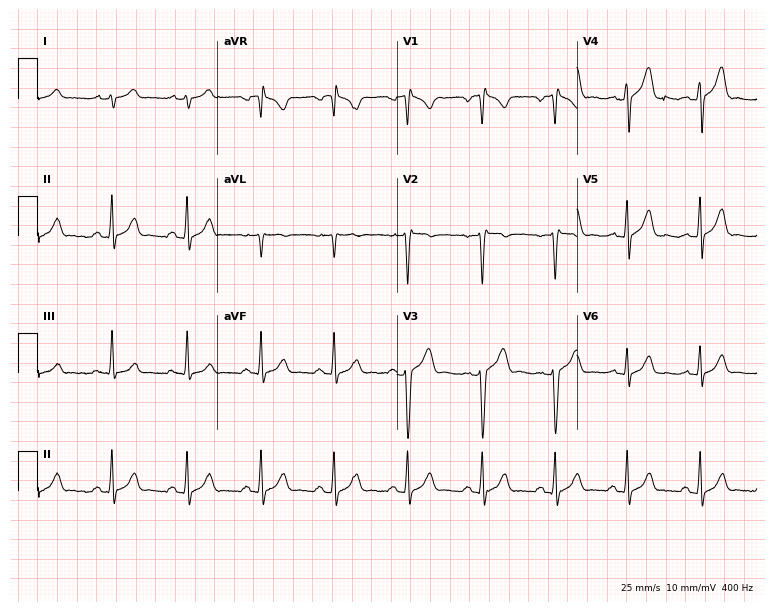
Standard 12-lead ECG recorded from a male, 20 years old. Read as a normal ECG.